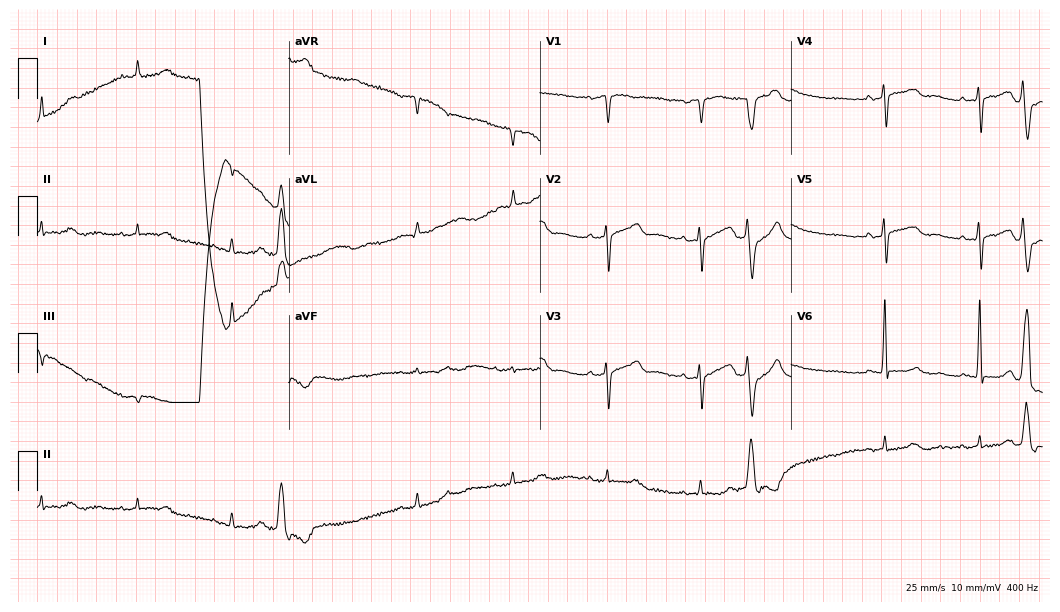
Resting 12-lead electrocardiogram. Patient: an 83-year-old male. None of these six findings is recorded: first-degree AV block, right bundle branch block, left bundle branch block, sinus bradycardia, atrial fibrillation, sinus tachycardia.